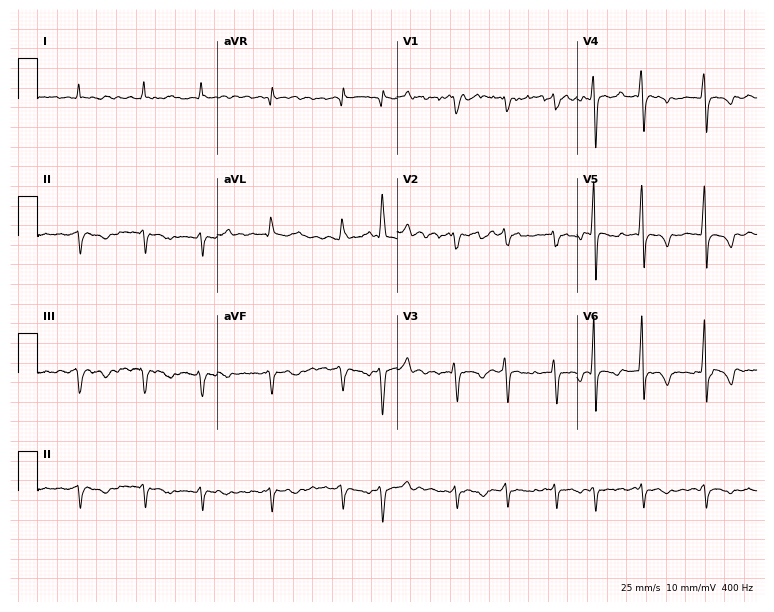
12-lead ECG from a 45-year-old male. Shows atrial fibrillation.